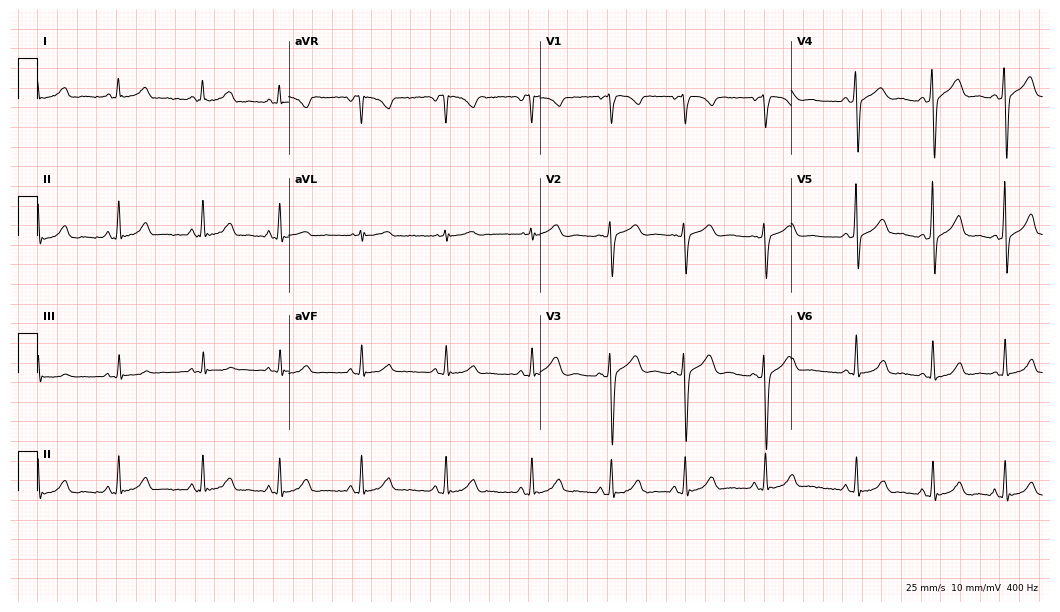
12-lead ECG (10.2-second recording at 400 Hz) from a woman, 34 years old. Labelled as a normal ECG.